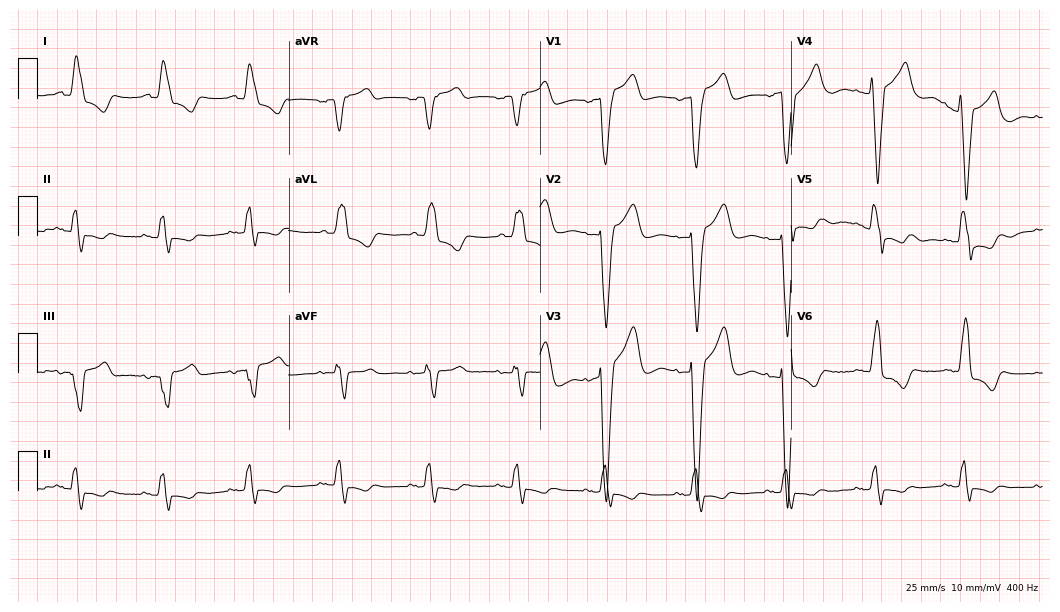
Resting 12-lead electrocardiogram. Patient: a female, 70 years old. The tracing shows left bundle branch block.